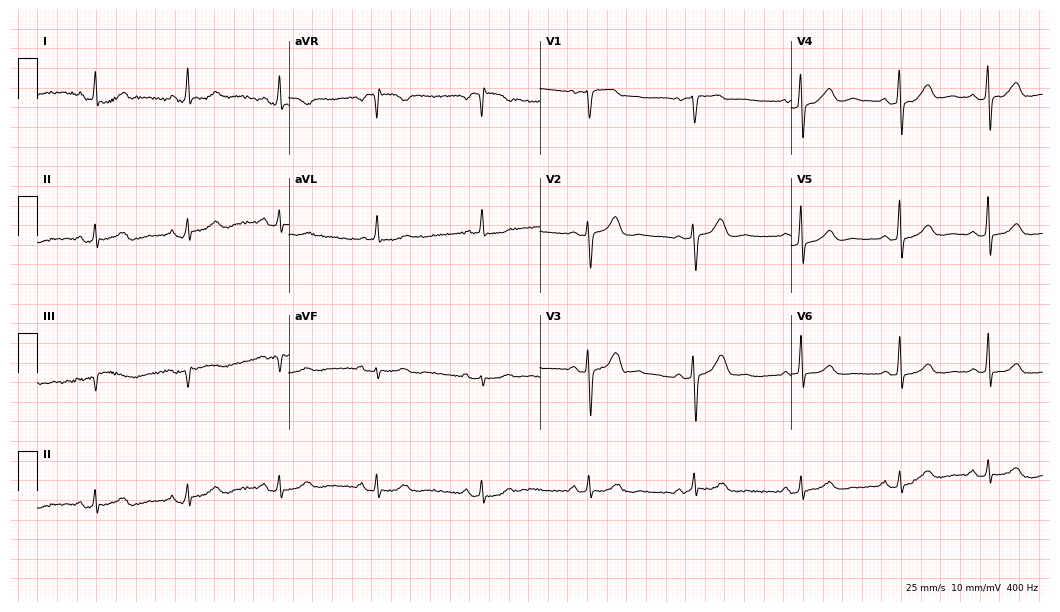
ECG — a female patient, 63 years old. Screened for six findings — first-degree AV block, right bundle branch block, left bundle branch block, sinus bradycardia, atrial fibrillation, sinus tachycardia — none is recorded.